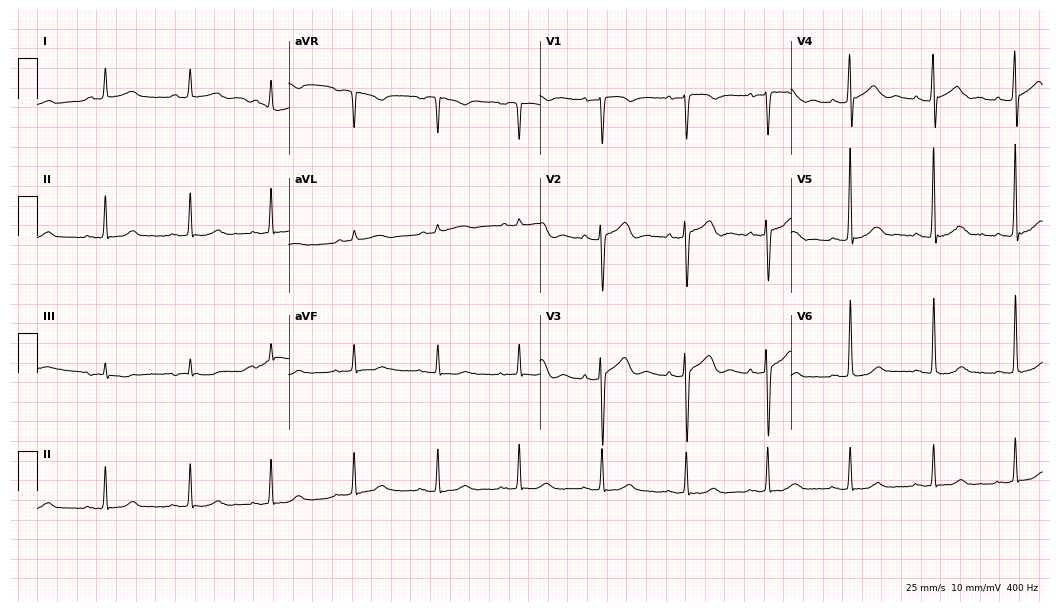
12-lead ECG from a 59-year-old female patient. Labelled as a normal ECG.